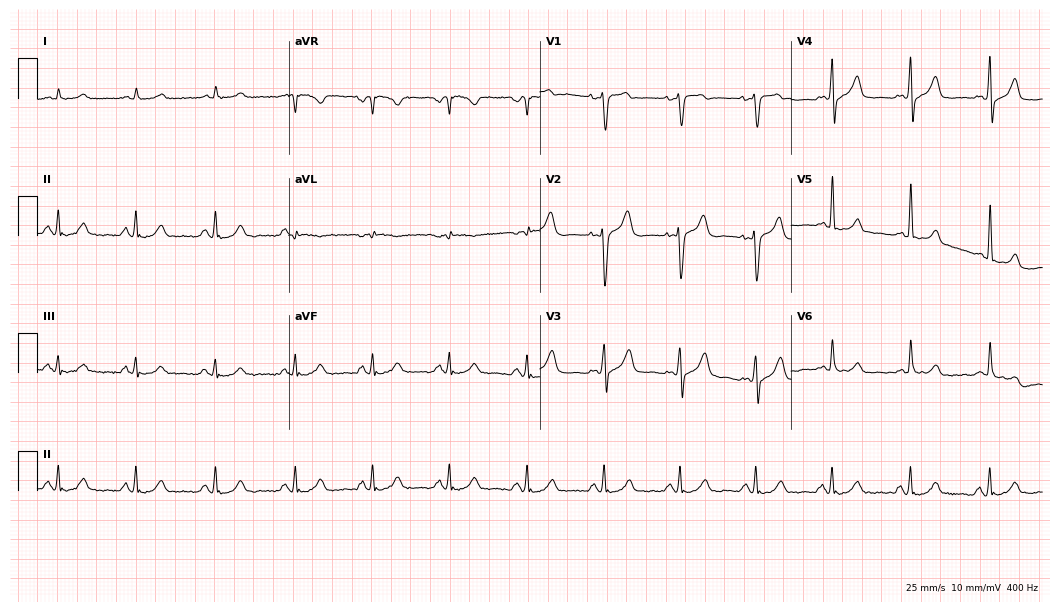
Standard 12-lead ECG recorded from a 45-year-old male (10.2-second recording at 400 Hz). Read as a normal ECG.